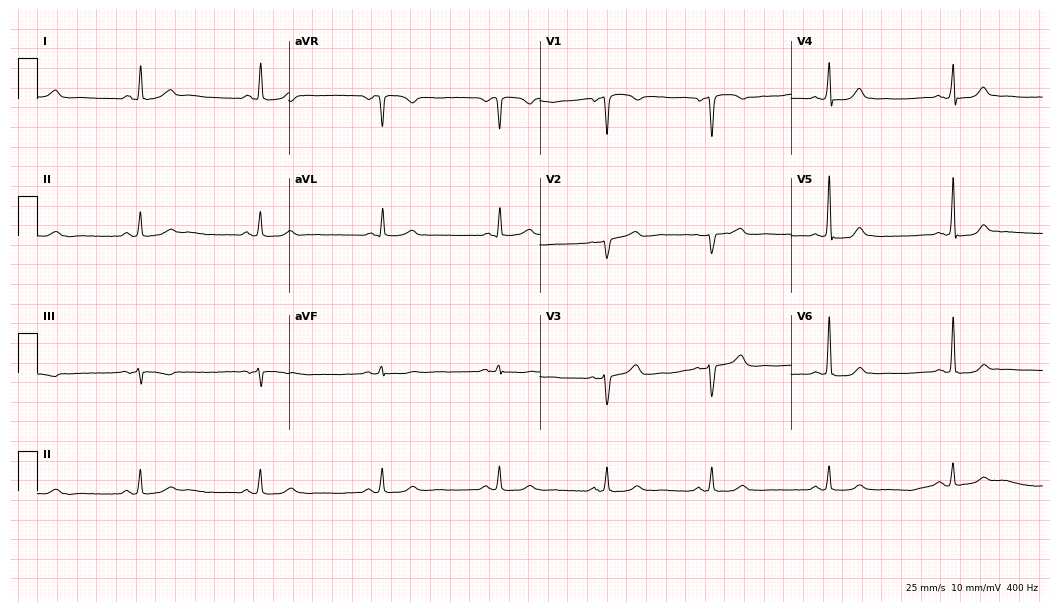
12-lead ECG (10.2-second recording at 400 Hz) from a 53-year-old female. Screened for six findings — first-degree AV block, right bundle branch block, left bundle branch block, sinus bradycardia, atrial fibrillation, sinus tachycardia — none is recorded. Only these six findings were labelled.